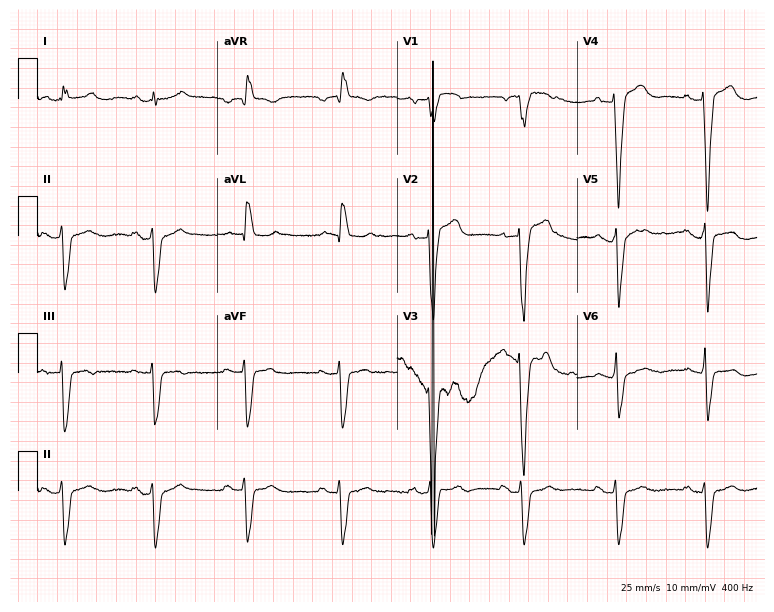
Electrocardiogram (7.3-second recording at 400 Hz), a male patient, 65 years old. Of the six screened findings (first-degree AV block, right bundle branch block, left bundle branch block, sinus bradycardia, atrial fibrillation, sinus tachycardia), none is recorded.